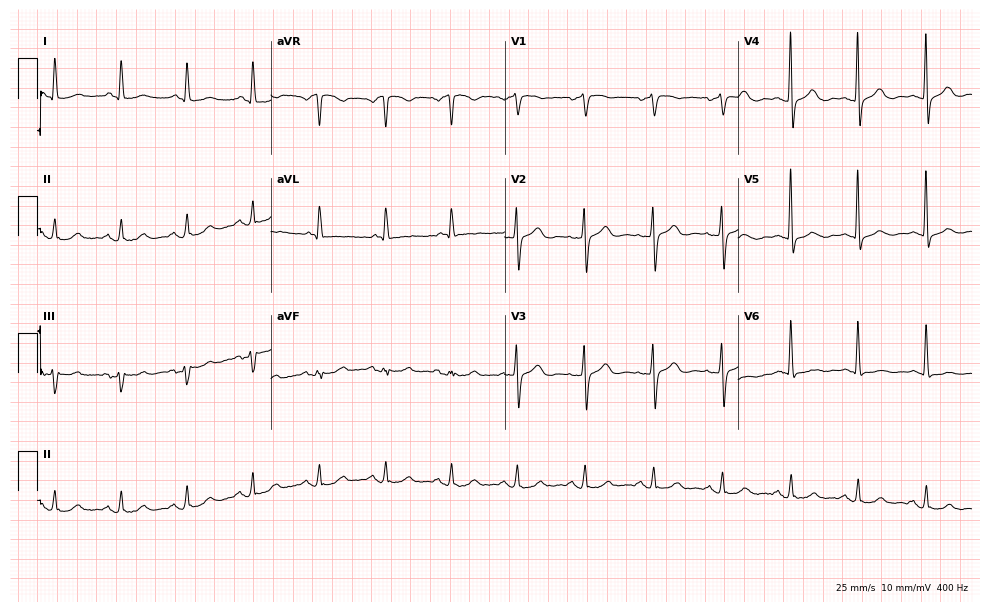
Electrocardiogram (9.5-second recording at 400 Hz), a 78-year-old woman. Of the six screened findings (first-degree AV block, right bundle branch block, left bundle branch block, sinus bradycardia, atrial fibrillation, sinus tachycardia), none is recorded.